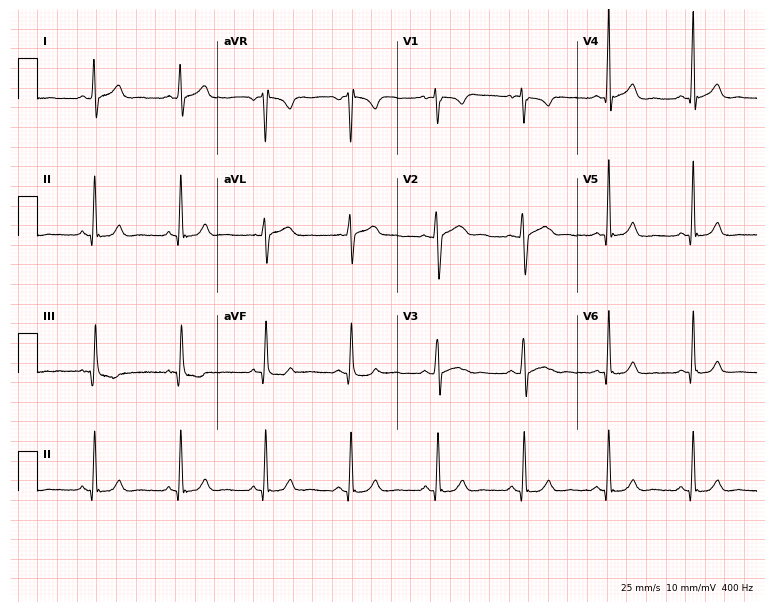
Standard 12-lead ECG recorded from a 35-year-old male patient (7.3-second recording at 400 Hz). Read as a normal ECG.